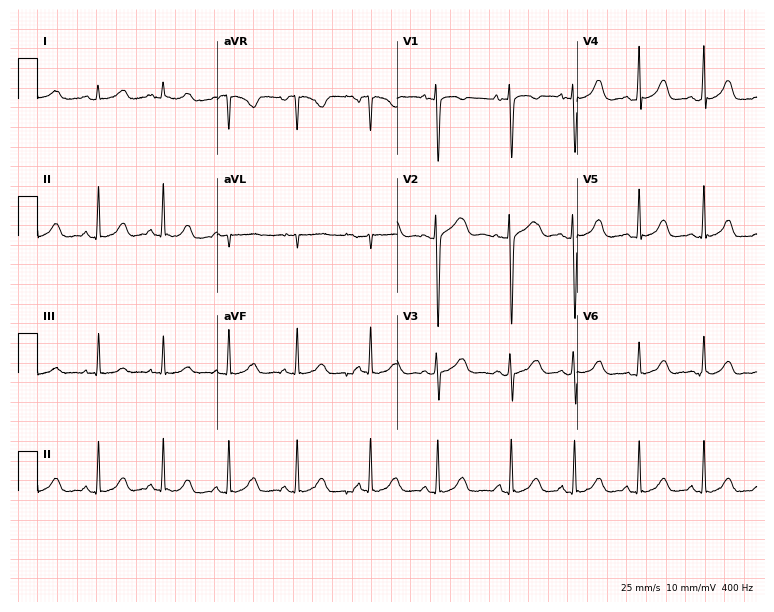
Electrocardiogram (7.3-second recording at 400 Hz), a 17-year-old female patient. Of the six screened findings (first-degree AV block, right bundle branch block, left bundle branch block, sinus bradycardia, atrial fibrillation, sinus tachycardia), none is recorded. Findings outside these six are not listed.